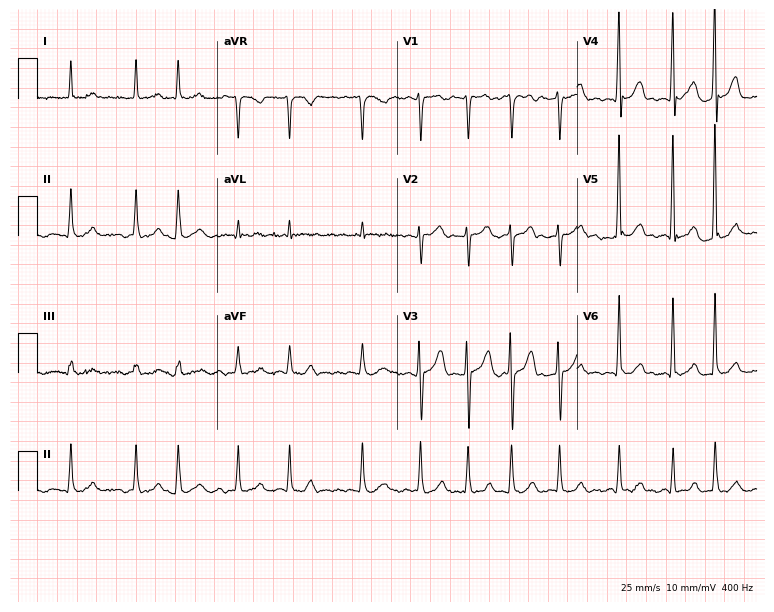
12-lead ECG from a male patient, 61 years old. Findings include atrial fibrillation (AF).